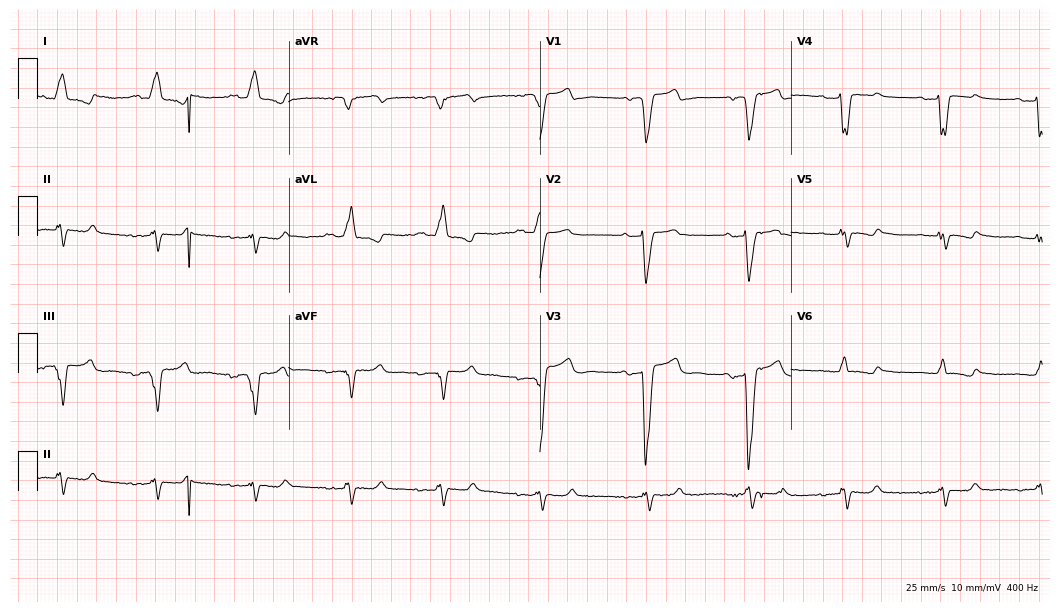
Standard 12-lead ECG recorded from a 43-year-old female patient (10.2-second recording at 400 Hz). The tracing shows left bundle branch block (LBBB).